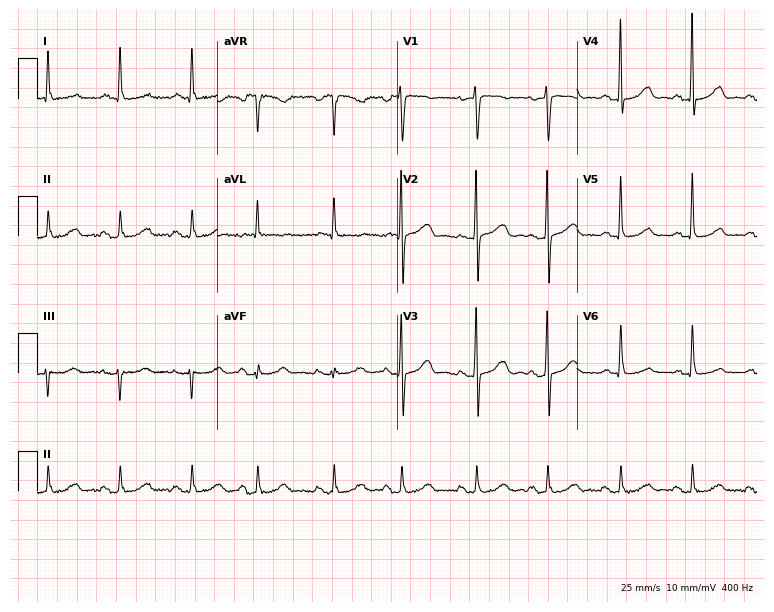
12-lead ECG from a 65-year-old woman (7.3-second recording at 400 Hz). Recorded interpretation: within normal limits.